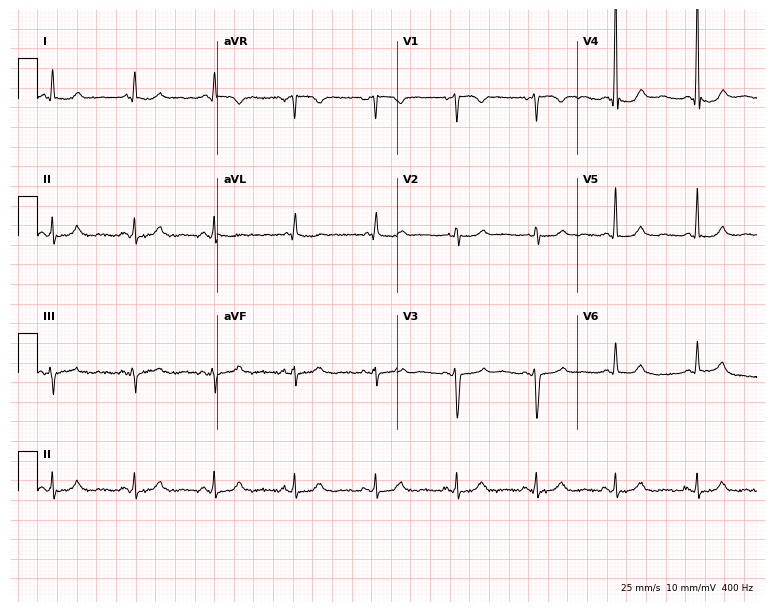
Resting 12-lead electrocardiogram (7.3-second recording at 400 Hz). Patient: a 37-year-old woman. None of these six findings is recorded: first-degree AV block, right bundle branch block, left bundle branch block, sinus bradycardia, atrial fibrillation, sinus tachycardia.